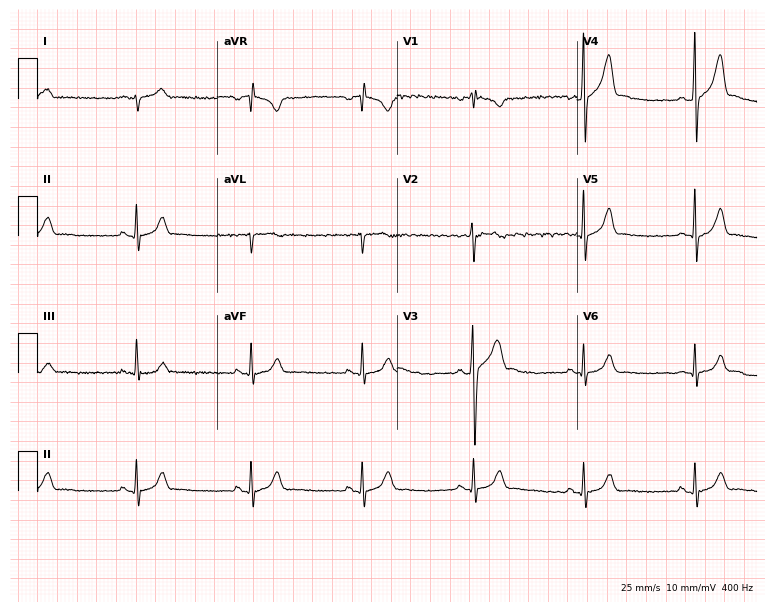
Standard 12-lead ECG recorded from a 20-year-old male patient. None of these six findings is recorded: first-degree AV block, right bundle branch block (RBBB), left bundle branch block (LBBB), sinus bradycardia, atrial fibrillation (AF), sinus tachycardia. Findings outside these six are not listed.